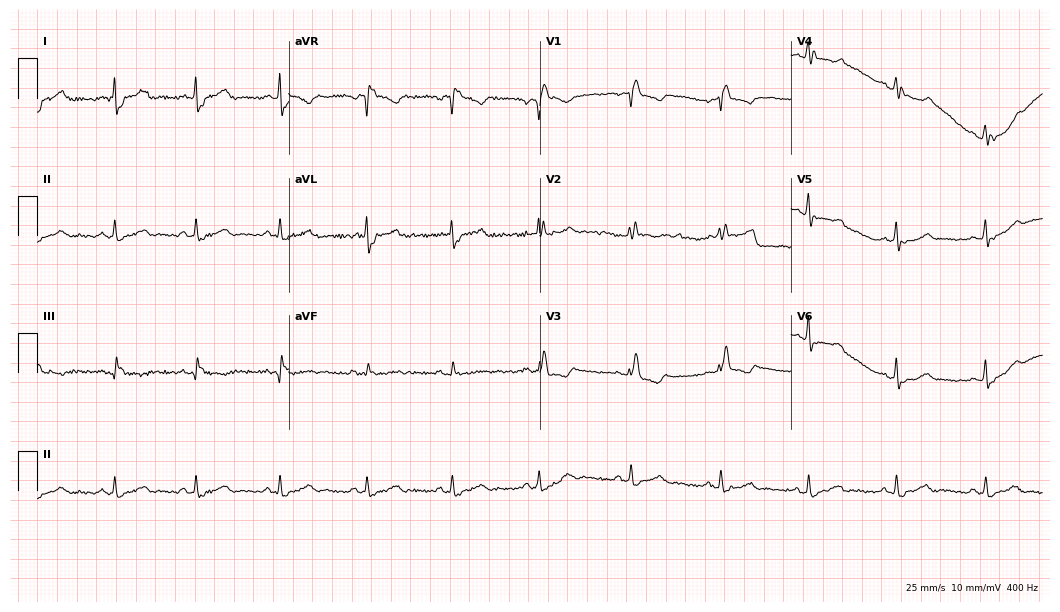
12-lead ECG from a 56-year-old female patient (10.2-second recording at 400 Hz). No first-degree AV block, right bundle branch block (RBBB), left bundle branch block (LBBB), sinus bradycardia, atrial fibrillation (AF) or sinus tachycardia recorded for this tracing. Only these six findings were labelled.